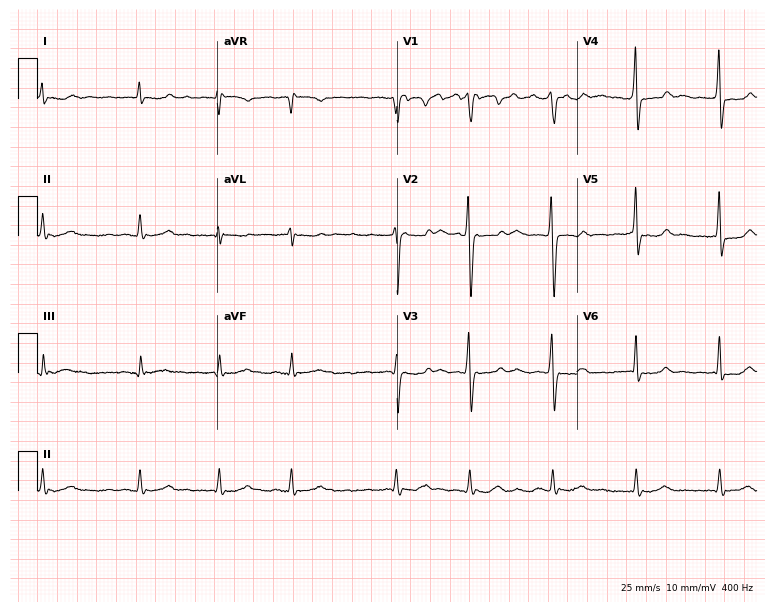
ECG — a female patient, 65 years old. Findings include atrial fibrillation.